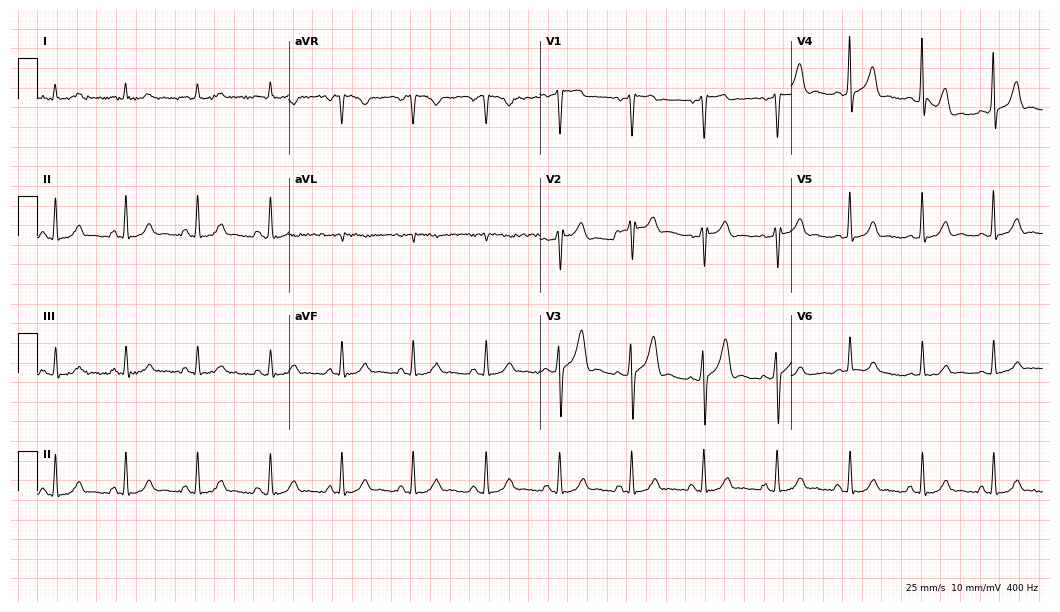
Electrocardiogram (10.2-second recording at 400 Hz), a male patient, 54 years old. Overall reading on record: normal ECG.